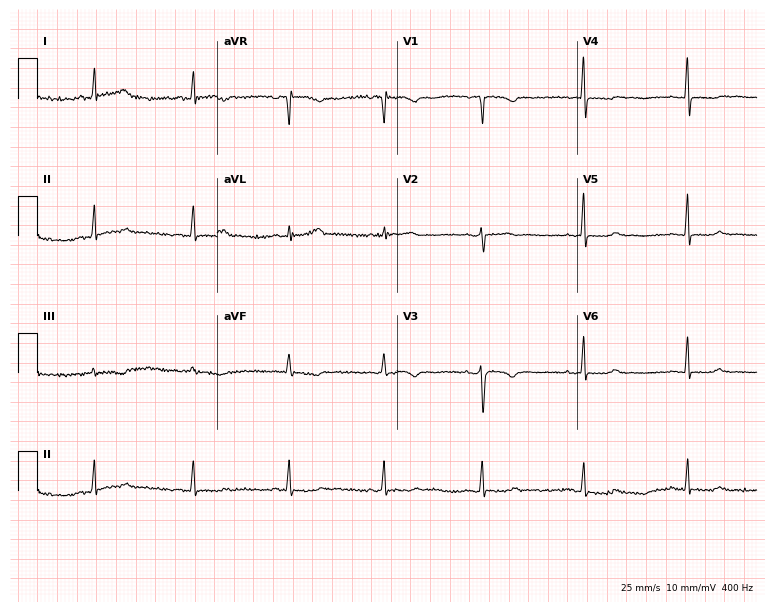
12-lead ECG from a female, 52 years old. Screened for six findings — first-degree AV block, right bundle branch block, left bundle branch block, sinus bradycardia, atrial fibrillation, sinus tachycardia — none is recorded. Other findings, if any, are not listed.